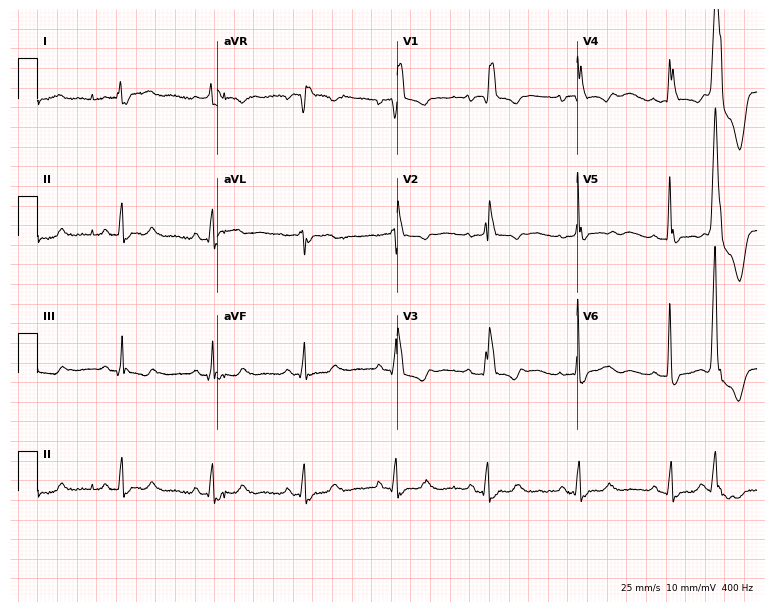
ECG — a female, 61 years old. Findings include right bundle branch block.